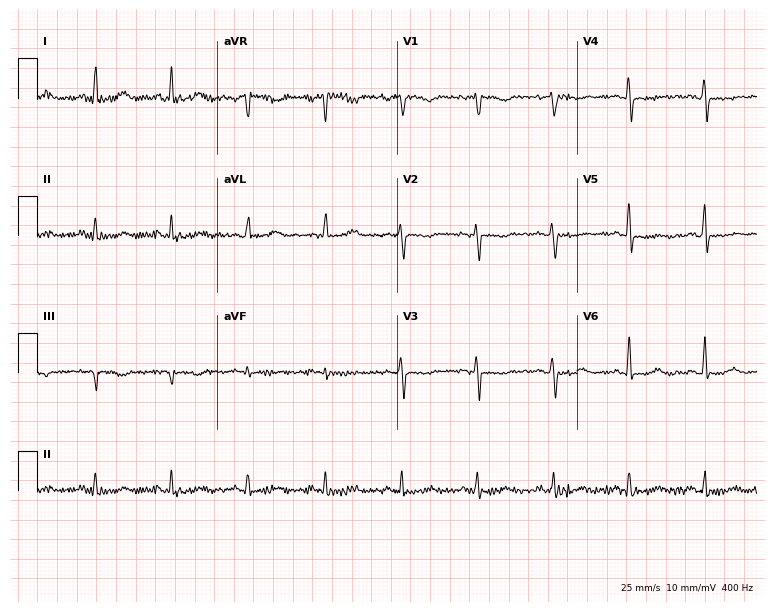
12-lead ECG from a female patient, 50 years old (7.3-second recording at 400 Hz). No first-degree AV block, right bundle branch block (RBBB), left bundle branch block (LBBB), sinus bradycardia, atrial fibrillation (AF) or sinus tachycardia recorded for this tracing. Findings outside these six are not listed.